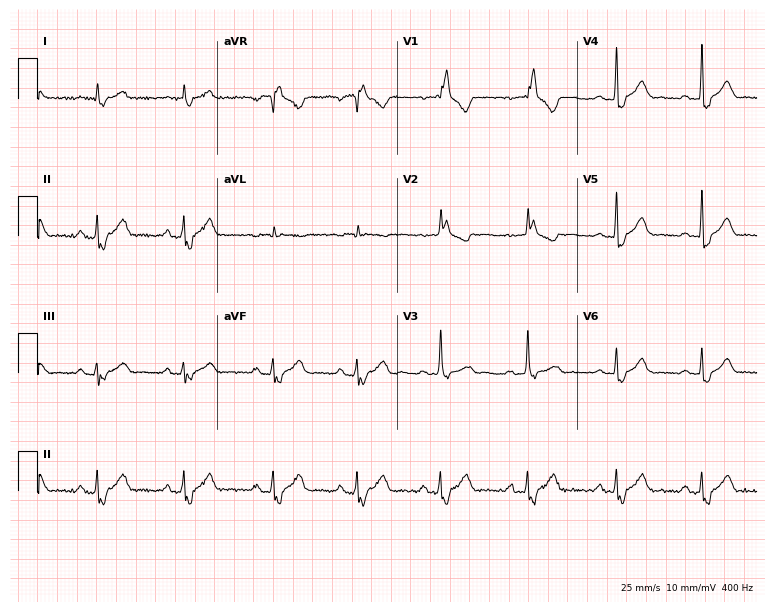
12-lead ECG (7.3-second recording at 400 Hz) from a female, 50 years old. Findings include right bundle branch block.